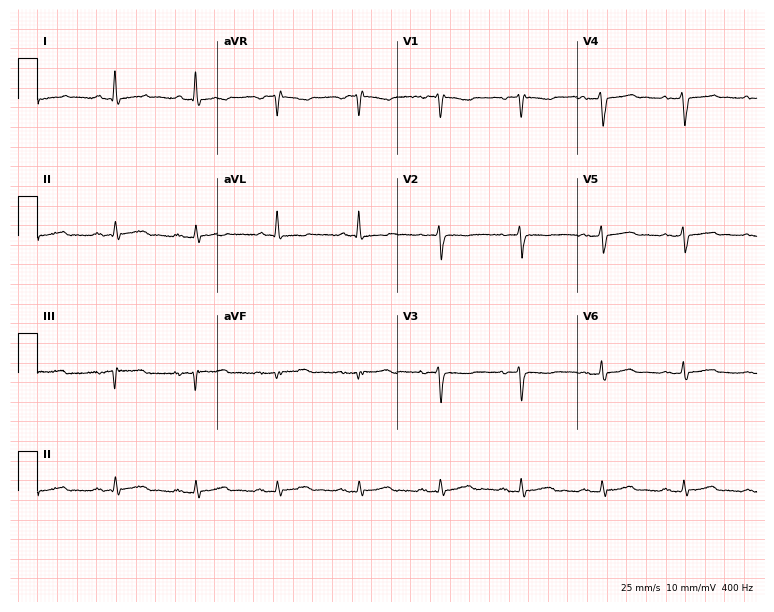
12-lead ECG from a woman, 74 years old (7.3-second recording at 400 Hz). No first-degree AV block, right bundle branch block, left bundle branch block, sinus bradycardia, atrial fibrillation or sinus tachycardia recorded for this tracing.